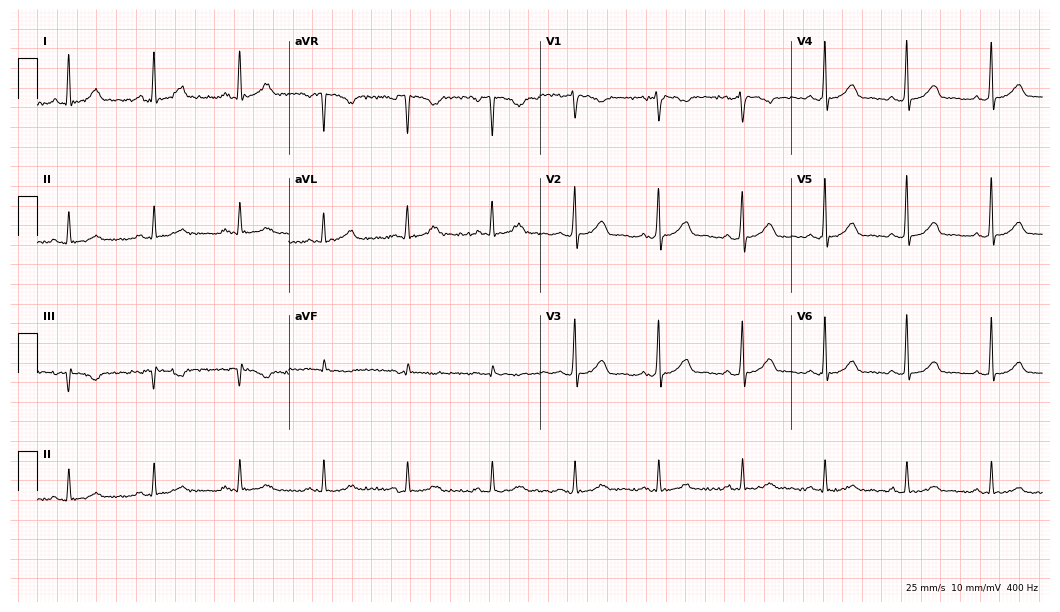
Resting 12-lead electrocardiogram (10.2-second recording at 400 Hz). Patient: a female, 40 years old. Read as a normal ECG.